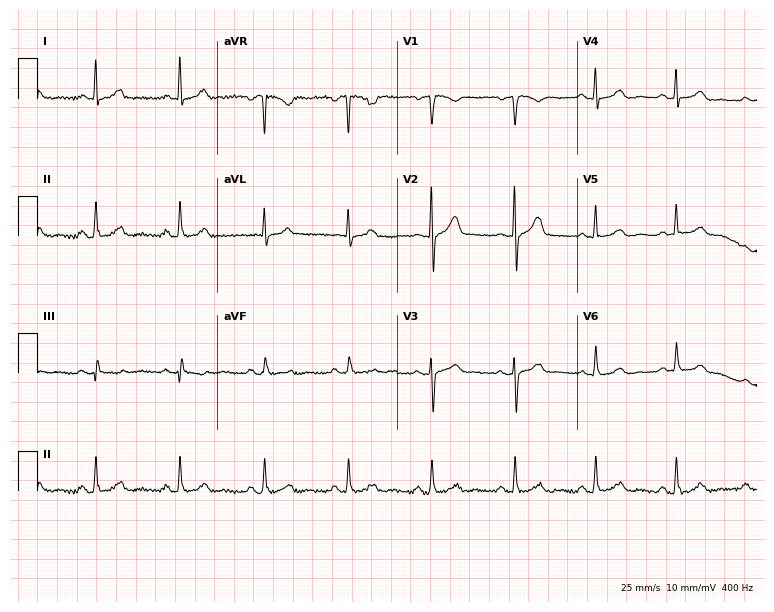
12-lead ECG (7.3-second recording at 400 Hz) from a 57-year-old woman. Labelled as a normal ECG.